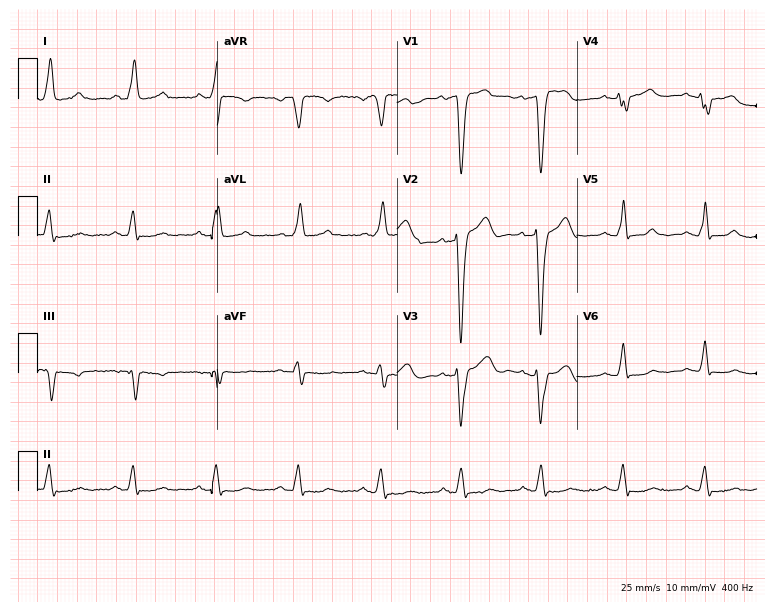
Electrocardiogram, a 66-year-old male patient. Interpretation includes left bundle branch block.